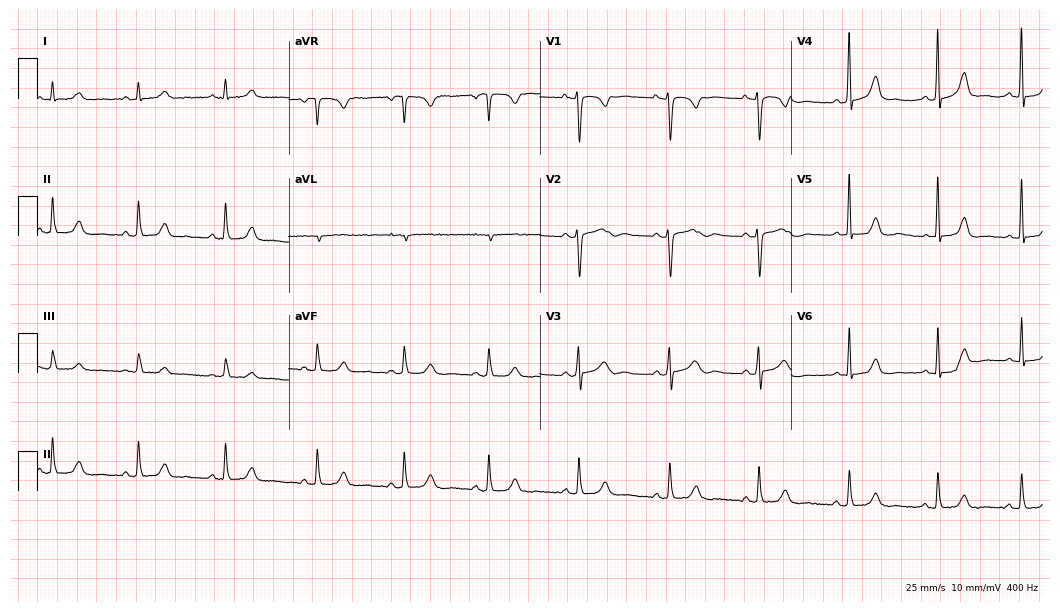
12-lead ECG from a 44-year-old female (10.2-second recording at 400 Hz). Recorded interpretation: within normal limits.